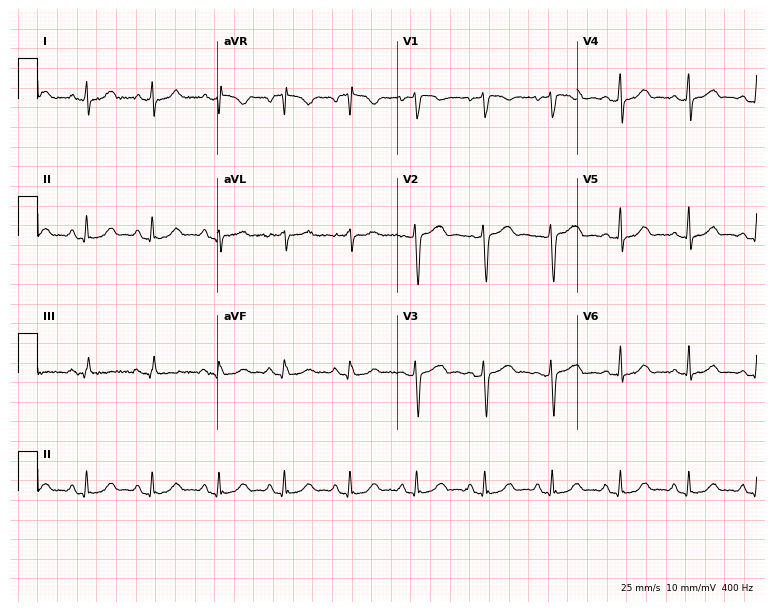
Standard 12-lead ECG recorded from a 33-year-old woman. Read as a normal ECG.